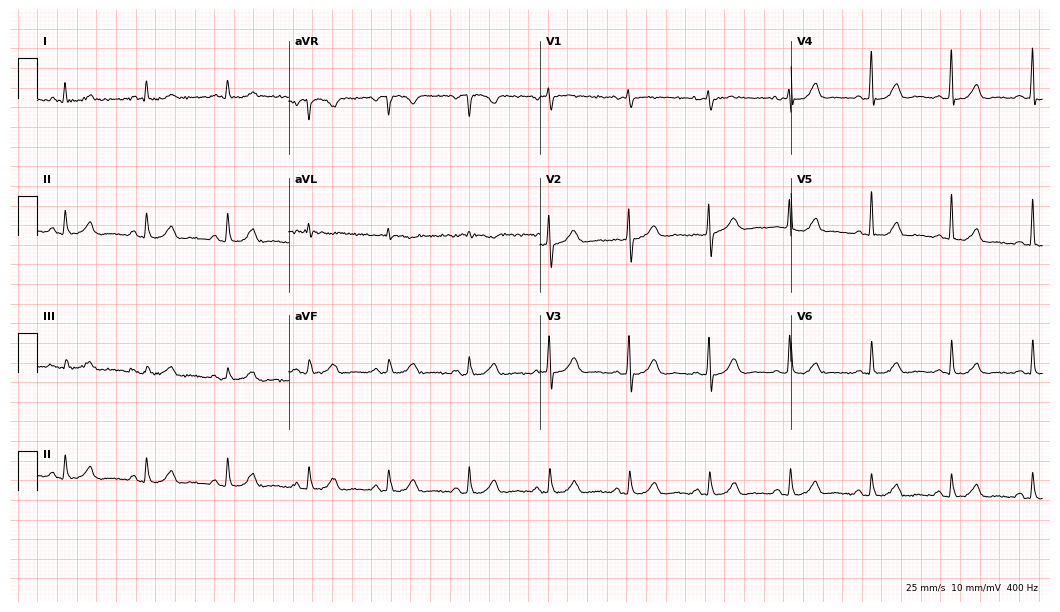
12-lead ECG (10.2-second recording at 400 Hz) from a 64-year-old female patient. Labelled as a normal ECG.